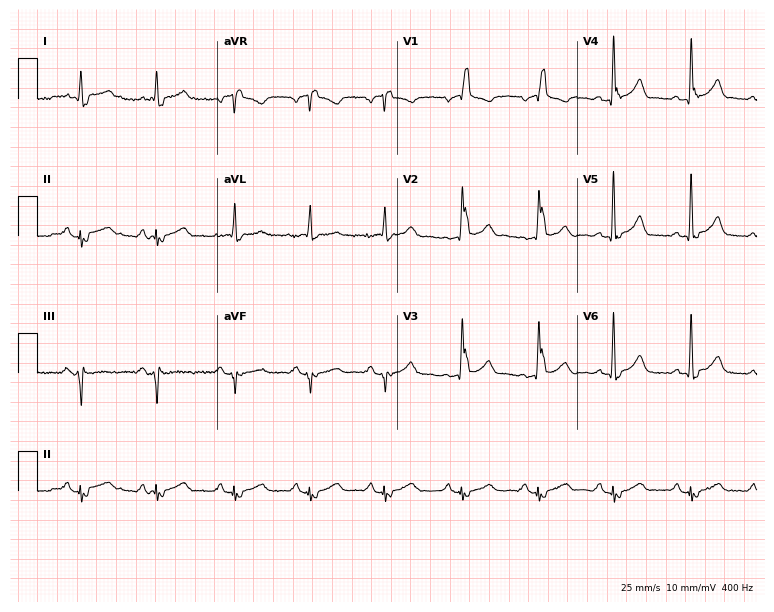
12-lead ECG from a 74-year-old male. Findings include right bundle branch block (RBBB).